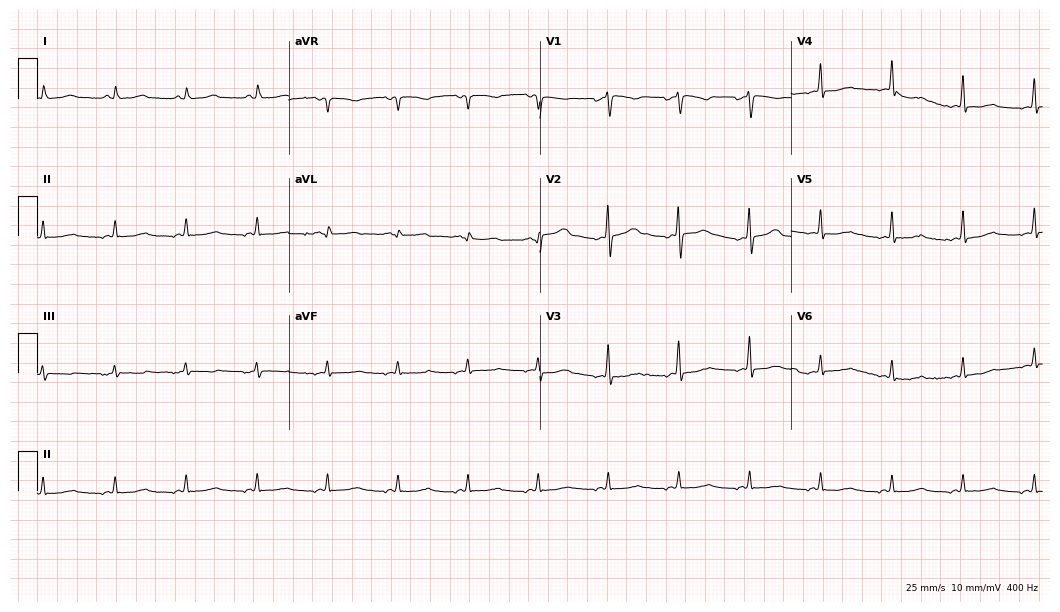
Resting 12-lead electrocardiogram. Patient: a male, 62 years old. None of these six findings is recorded: first-degree AV block, right bundle branch block, left bundle branch block, sinus bradycardia, atrial fibrillation, sinus tachycardia. Other findings, if any, are not listed.